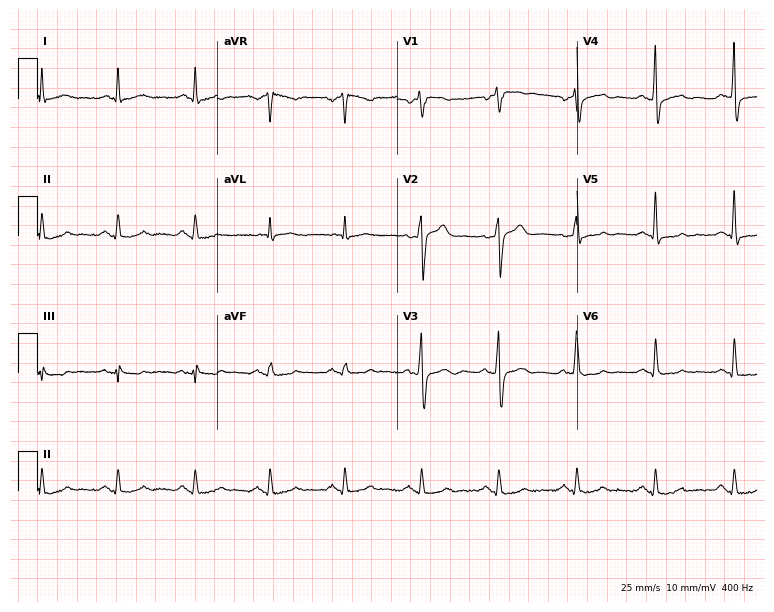
12-lead ECG from a 55-year-old male (7.3-second recording at 400 Hz). Recorded interpretation: within normal limits.